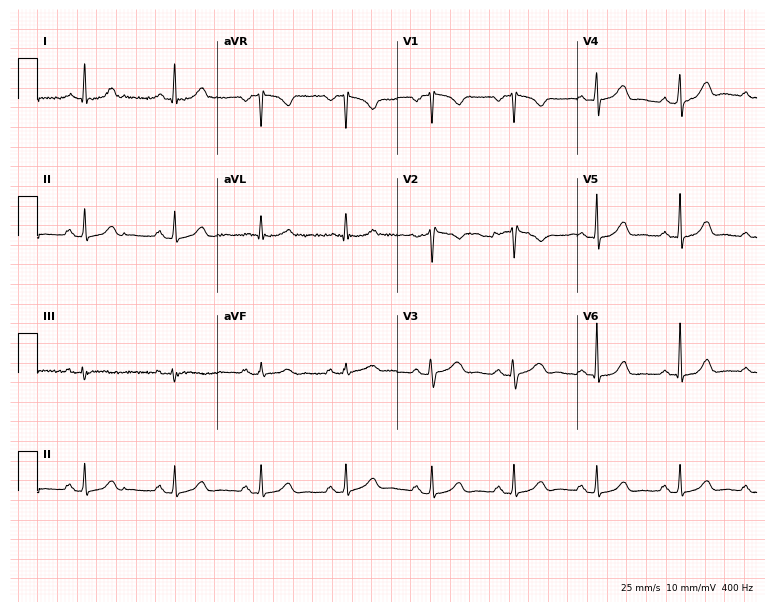
Resting 12-lead electrocardiogram (7.3-second recording at 400 Hz). Patient: a 41-year-old woman. None of these six findings is recorded: first-degree AV block, right bundle branch block, left bundle branch block, sinus bradycardia, atrial fibrillation, sinus tachycardia.